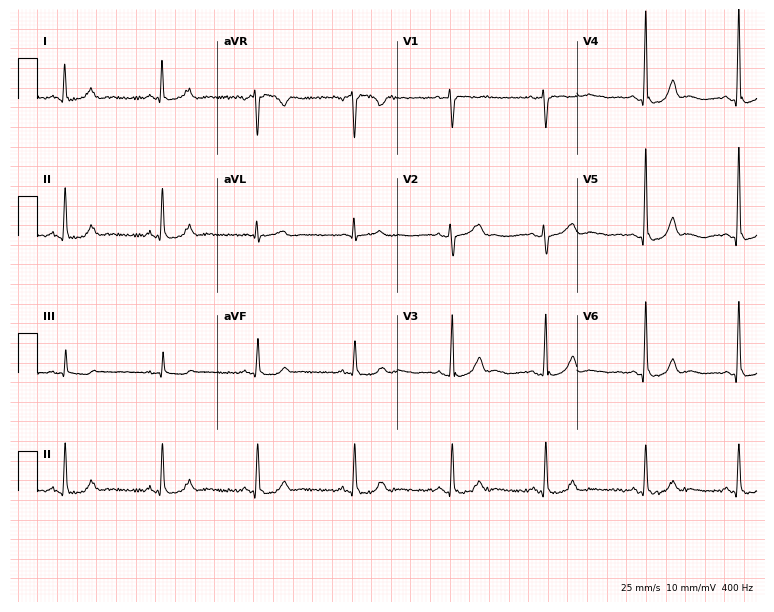
Electrocardiogram (7.3-second recording at 400 Hz), a woman, 41 years old. Overall reading on record: normal ECG.